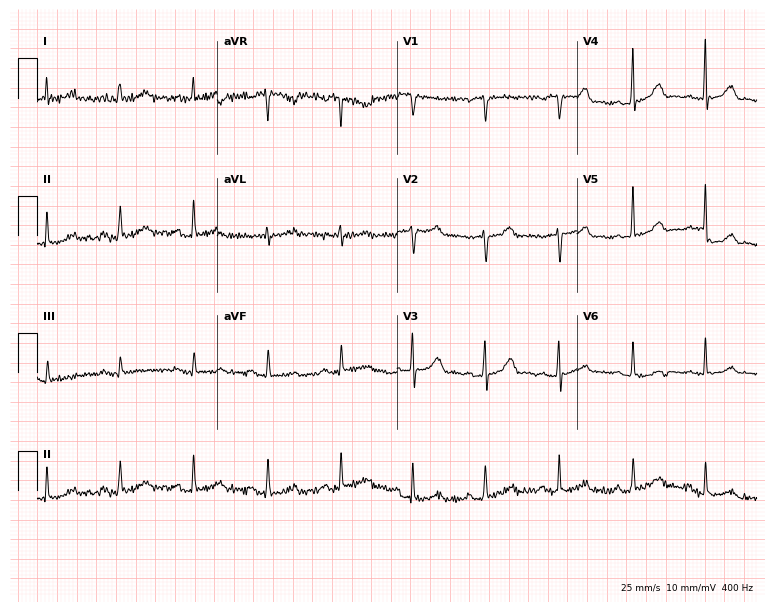
ECG (7.3-second recording at 400 Hz) — a female, 56 years old. Labelled as a normal ECG.